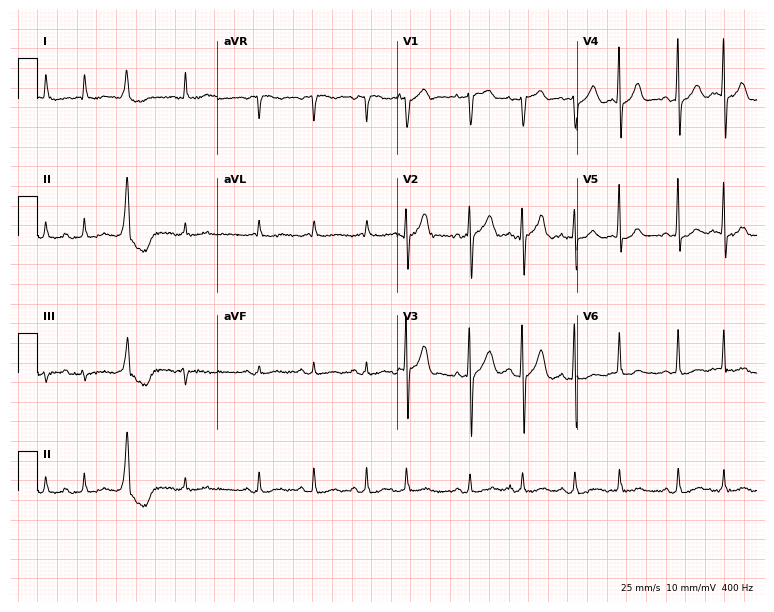
12-lead ECG from a man, 81 years old. Shows atrial fibrillation.